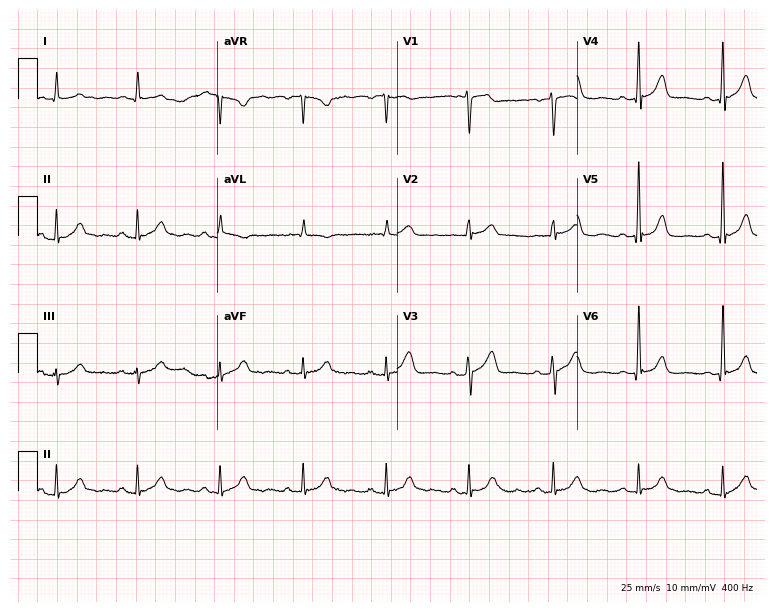
Standard 12-lead ECG recorded from a 65-year-old male. None of these six findings is recorded: first-degree AV block, right bundle branch block, left bundle branch block, sinus bradycardia, atrial fibrillation, sinus tachycardia. Findings outside these six are not listed.